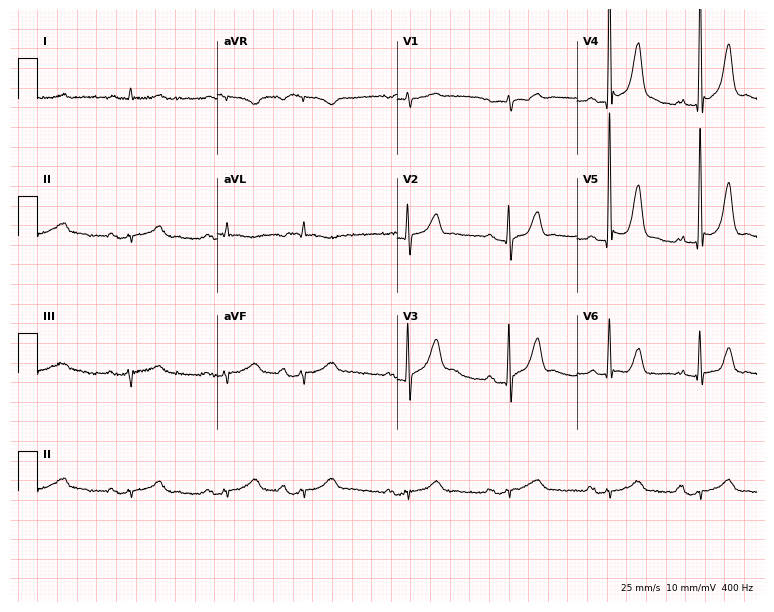
Electrocardiogram (7.3-second recording at 400 Hz), a 76-year-old male. Of the six screened findings (first-degree AV block, right bundle branch block, left bundle branch block, sinus bradycardia, atrial fibrillation, sinus tachycardia), none is recorded. Findings outside these six are not listed.